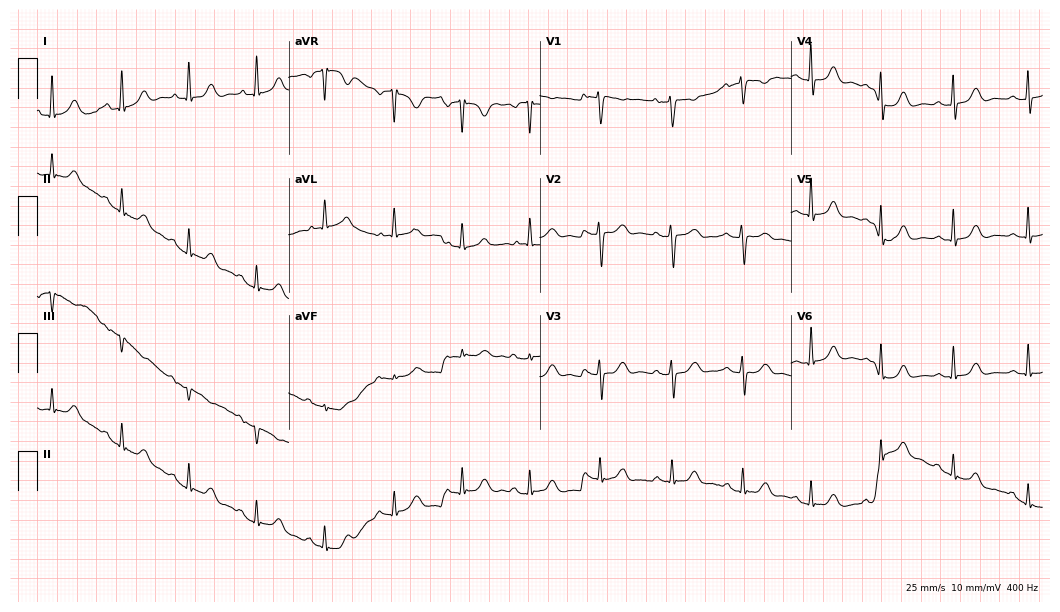
Resting 12-lead electrocardiogram. Patient: a female, 79 years old. Read as a normal ECG.